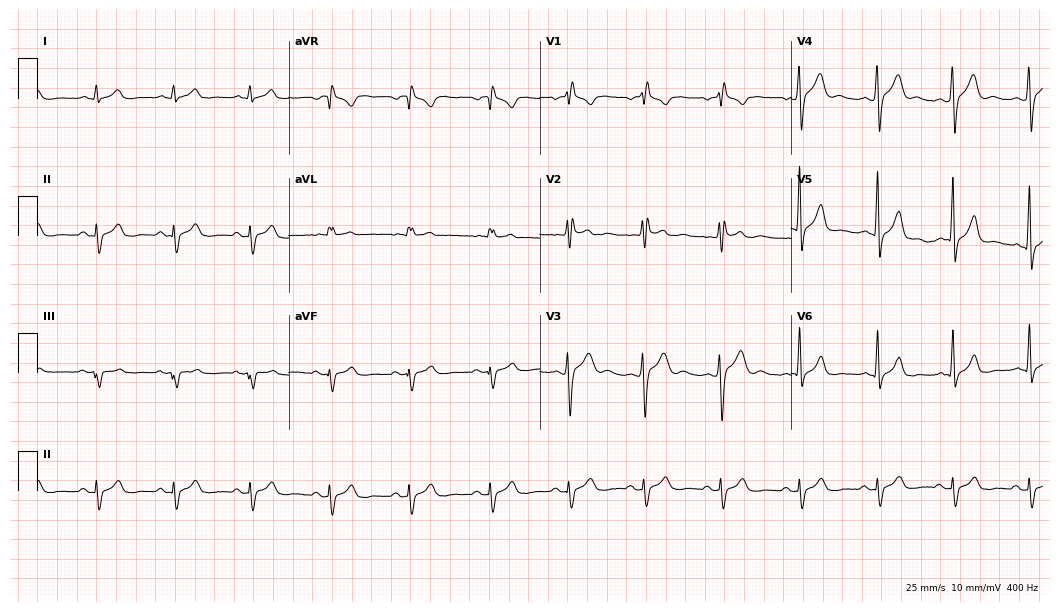
Standard 12-lead ECG recorded from a 22-year-old male patient (10.2-second recording at 400 Hz). None of these six findings is recorded: first-degree AV block, right bundle branch block (RBBB), left bundle branch block (LBBB), sinus bradycardia, atrial fibrillation (AF), sinus tachycardia. Only these six findings were labelled.